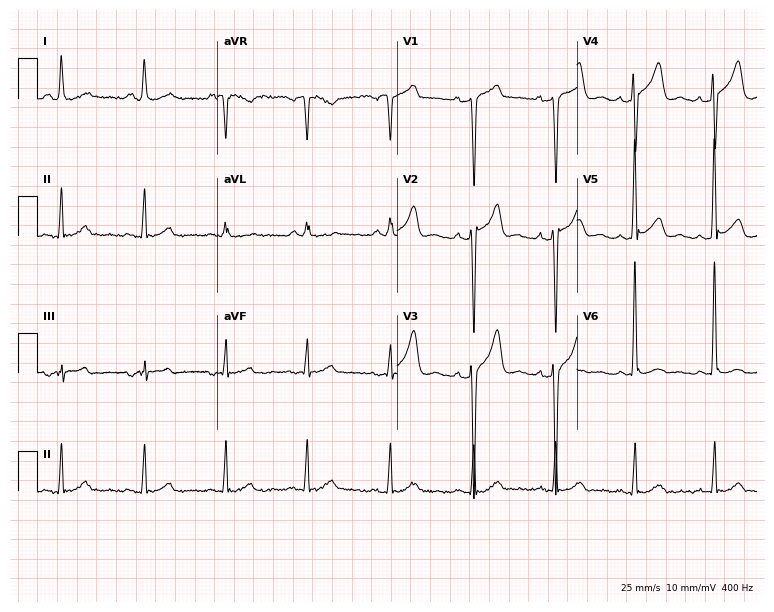
Electrocardiogram (7.3-second recording at 400 Hz), a 29-year-old male patient. Of the six screened findings (first-degree AV block, right bundle branch block, left bundle branch block, sinus bradycardia, atrial fibrillation, sinus tachycardia), none is recorded. Only these six findings were labelled.